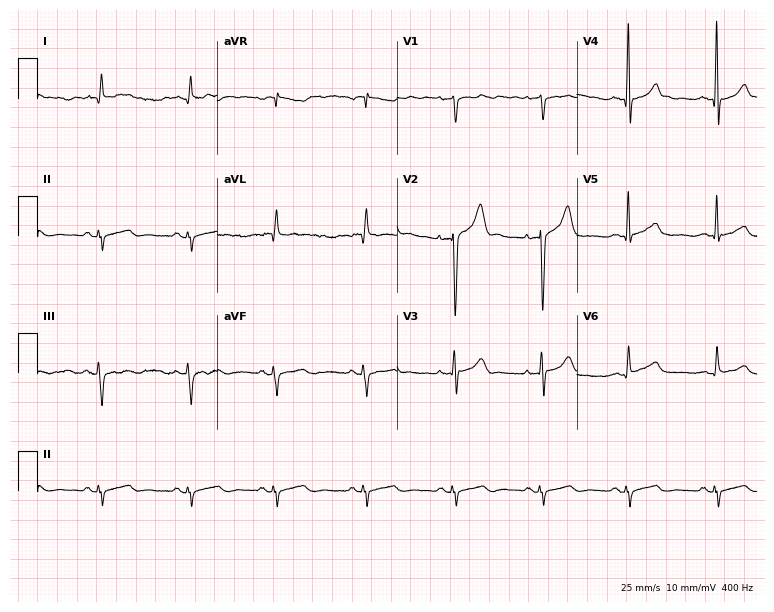
12-lead ECG (7.3-second recording at 400 Hz) from a male patient, 66 years old. Screened for six findings — first-degree AV block, right bundle branch block, left bundle branch block, sinus bradycardia, atrial fibrillation, sinus tachycardia — none is recorded.